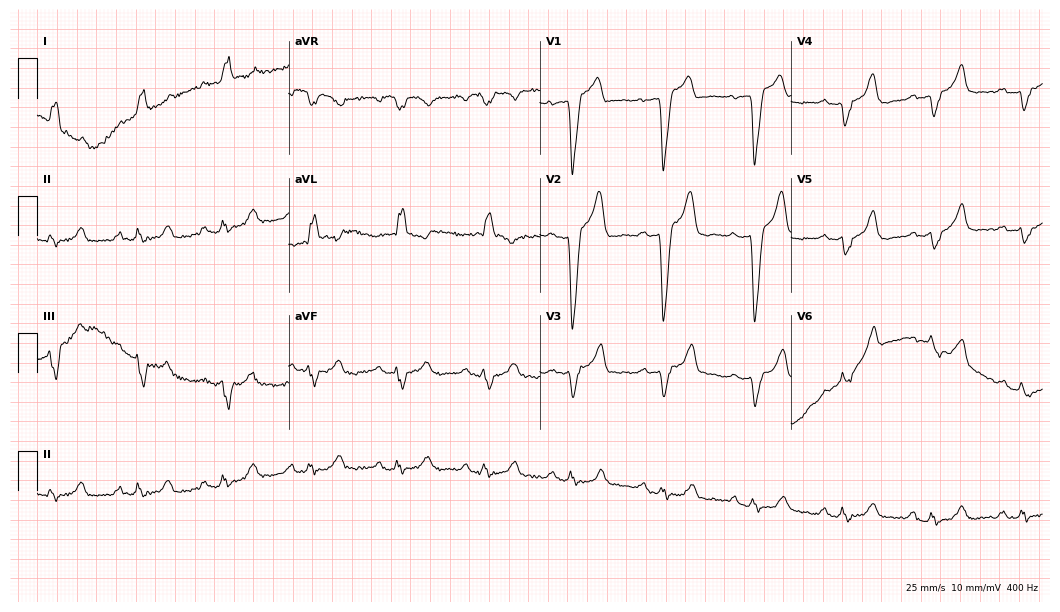
12-lead ECG from a 73-year-old male patient. Shows left bundle branch block.